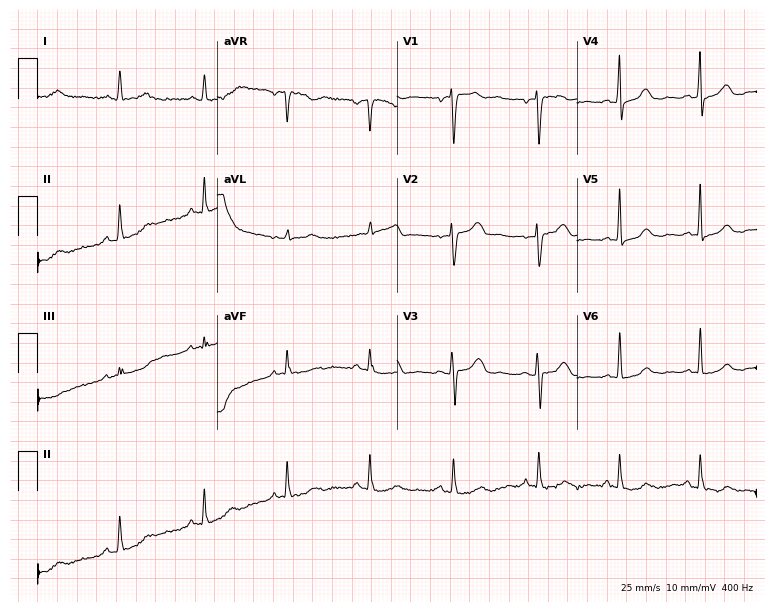
12-lead ECG (7.3-second recording at 400 Hz) from a 51-year-old female. Screened for six findings — first-degree AV block, right bundle branch block, left bundle branch block, sinus bradycardia, atrial fibrillation, sinus tachycardia — none is recorded.